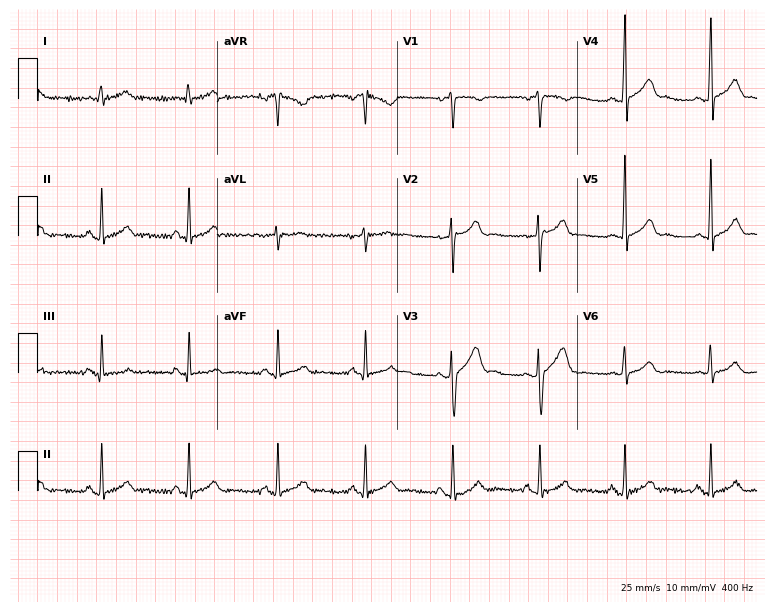
12-lead ECG from a male patient, 23 years old (7.3-second recording at 400 Hz). Recorded interpretation: within normal limits.